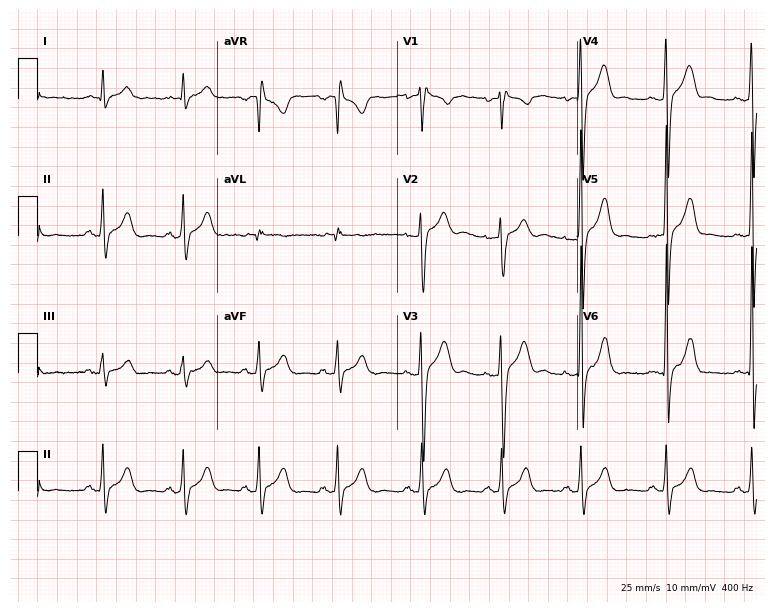
Electrocardiogram, a 34-year-old male patient. Of the six screened findings (first-degree AV block, right bundle branch block (RBBB), left bundle branch block (LBBB), sinus bradycardia, atrial fibrillation (AF), sinus tachycardia), none is recorded. Only these six findings were labelled.